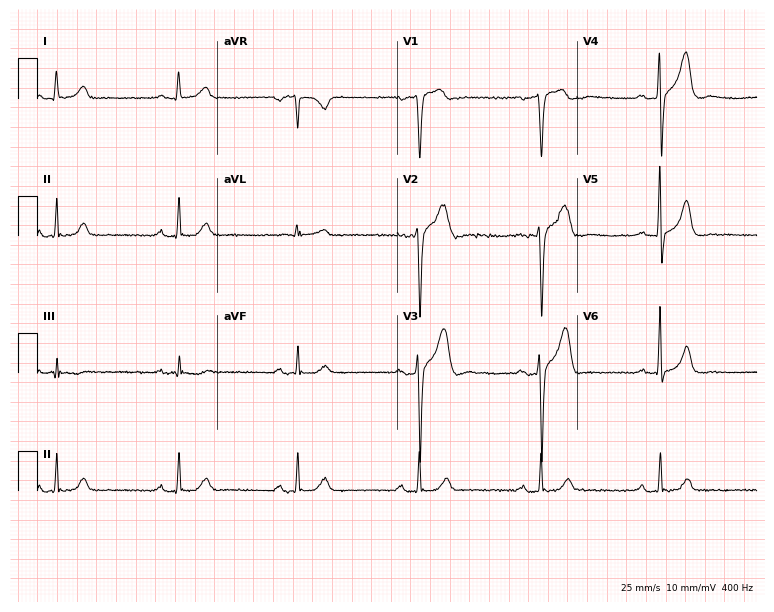
Resting 12-lead electrocardiogram (7.3-second recording at 400 Hz). Patient: a 69-year-old man. Read as a normal ECG.